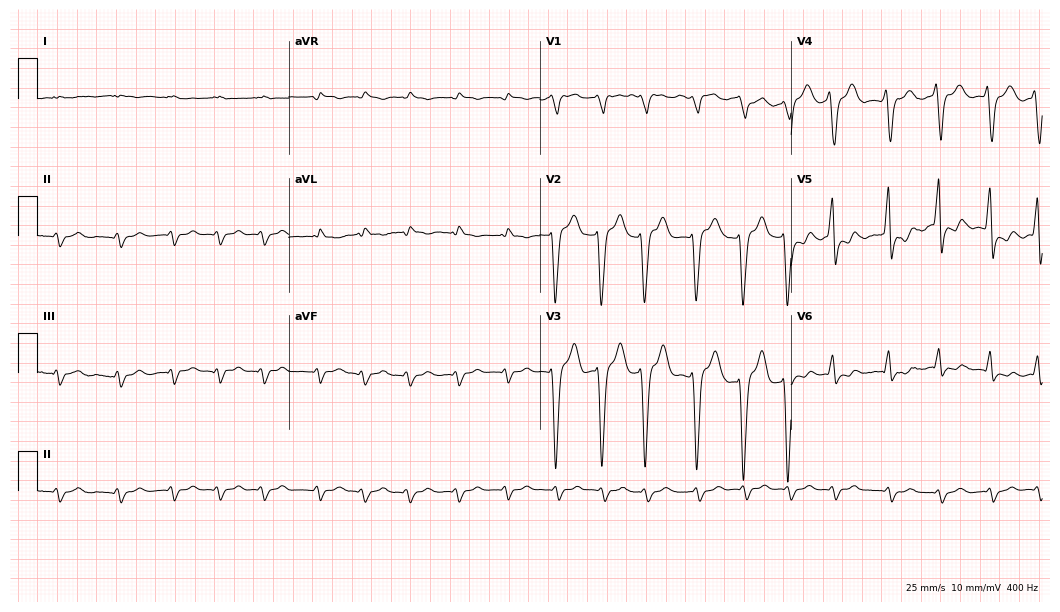
12-lead ECG from a male, 67 years old. Shows left bundle branch block (LBBB), atrial fibrillation (AF).